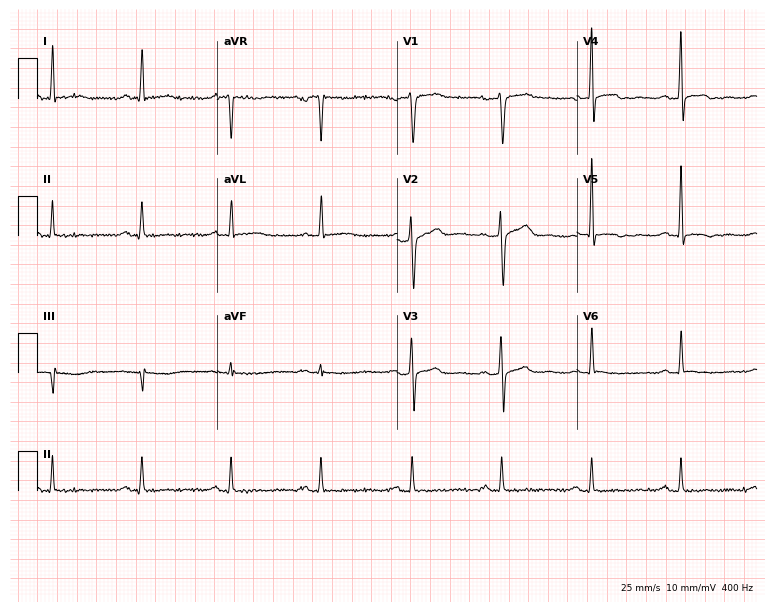
ECG — a 47-year-old man. Screened for six findings — first-degree AV block, right bundle branch block, left bundle branch block, sinus bradycardia, atrial fibrillation, sinus tachycardia — none is recorded.